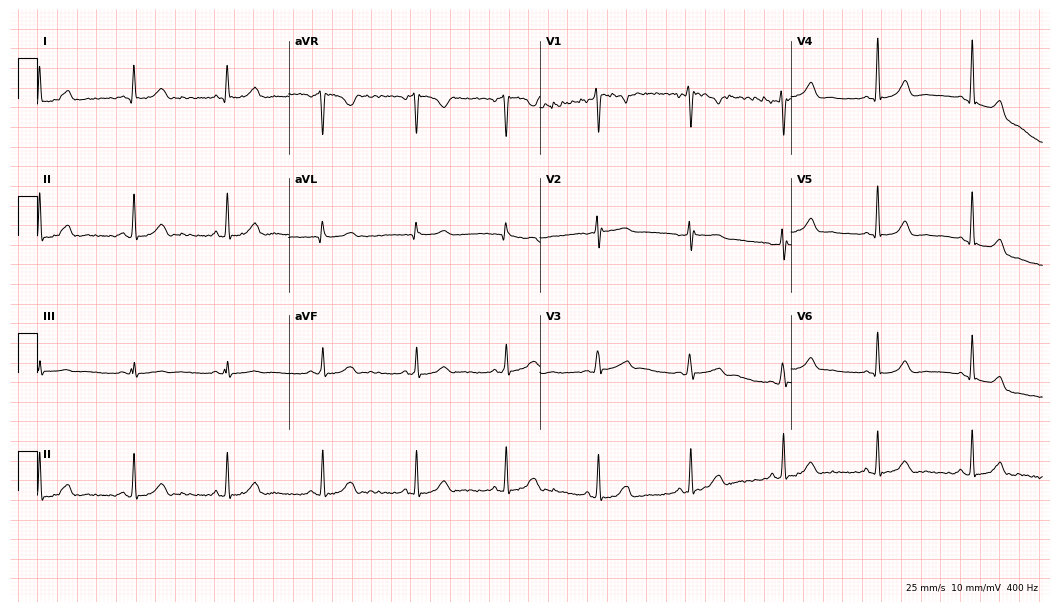
12-lead ECG from a 34-year-old female (10.2-second recording at 400 Hz). Recorded interpretation: within normal limits.